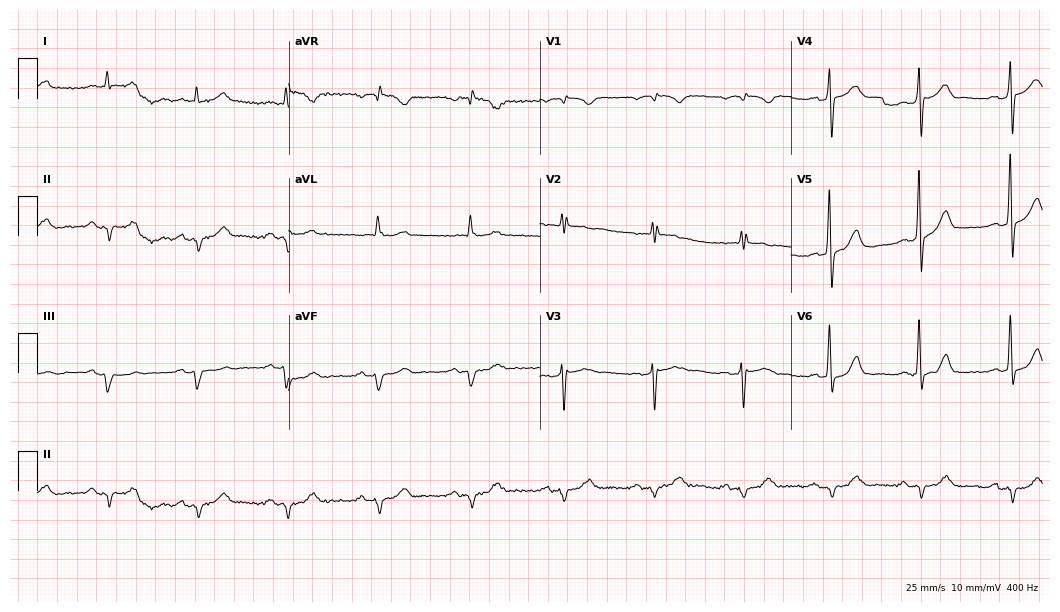
12-lead ECG from a man, 59 years old. Screened for six findings — first-degree AV block, right bundle branch block, left bundle branch block, sinus bradycardia, atrial fibrillation, sinus tachycardia — none is recorded. Other findings, if any, are not listed.